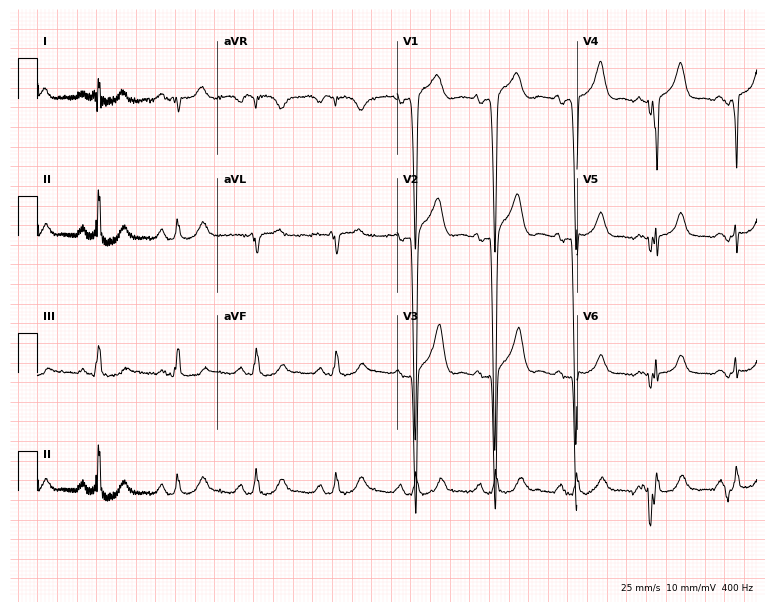
Electrocardiogram, a 26-year-old male. Of the six screened findings (first-degree AV block, right bundle branch block, left bundle branch block, sinus bradycardia, atrial fibrillation, sinus tachycardia), none is recorded. Findings outside these six are not listed.